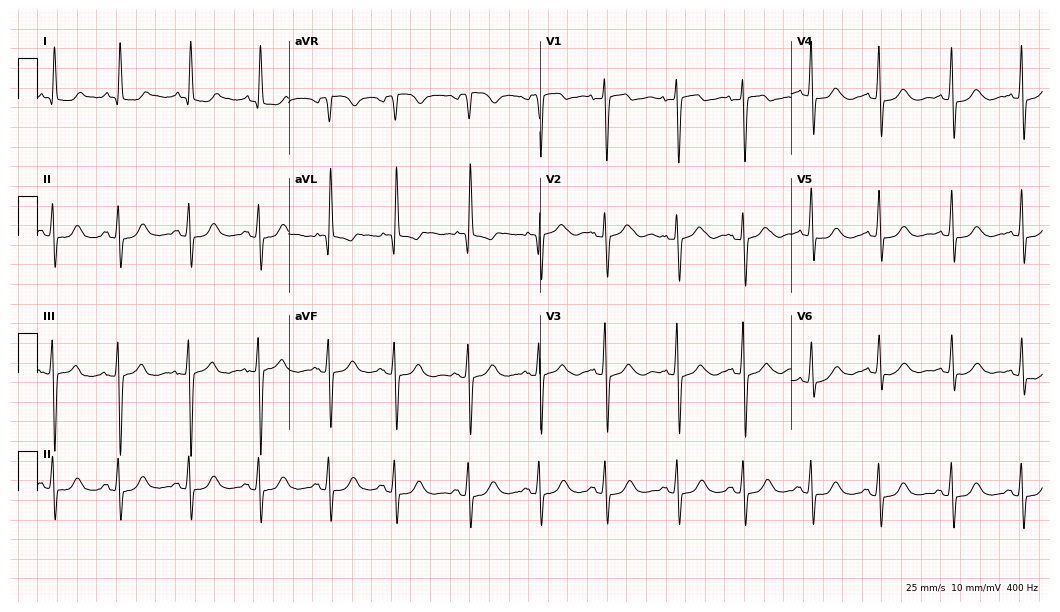
12-lead ECG (10.2-second recording at 400 Hz) from a female, 66 years old. Screened for six findings — first-degree AV block, right bundle branch block, left bundle branch block, sinus bradycardia, atrial fibrillation, sinus tachycardia — none is recorded.